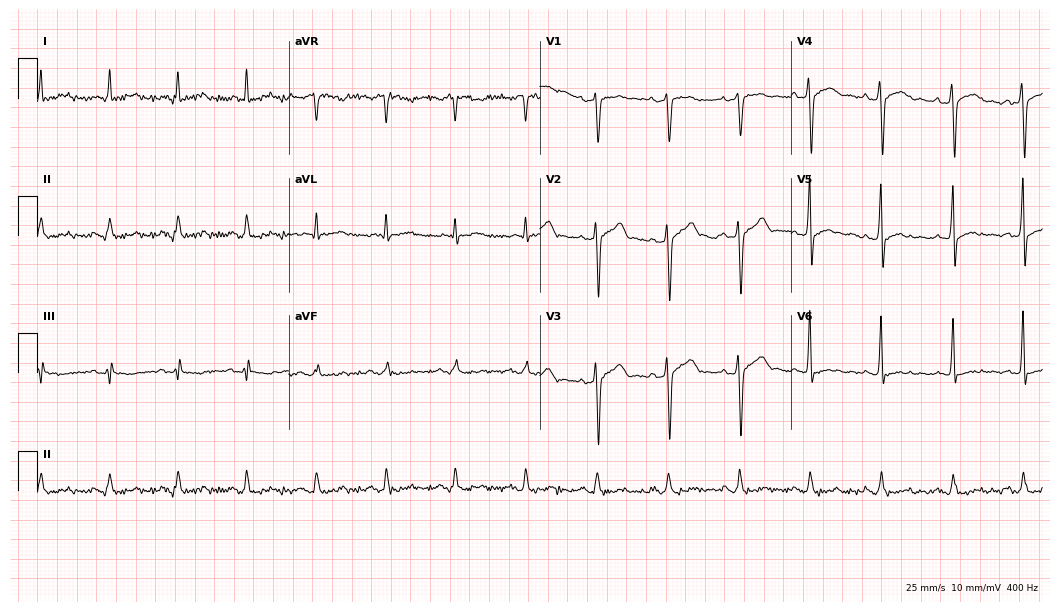
Resting 12-lead electrocardiogram. Patient: a 58-year-old man. None of these six findings is recorded: first-degree AV block, right bundle branch block, left bundle branch block, sinus bradycardia, atrial fibrillation, sinus tachycardia. Other findings, if any, are not listed.